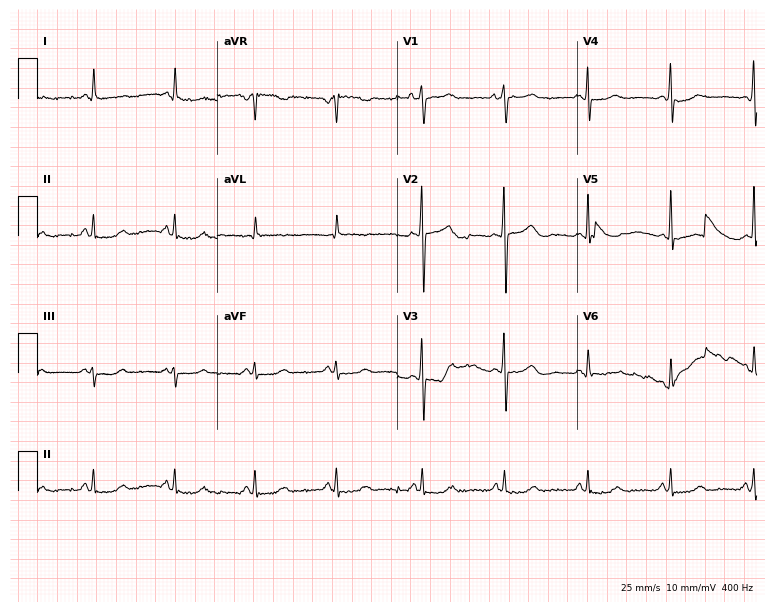
Standard 12-lead ECG recorded from a man, 67 years old (7.3-second recording at 400 Hz). None of these six findings is recorded: first-degree AV block, right bundle branch block (RBBB), left bundle branch block (LBBB), sinus bradycardia, atrial fibrillation (AF), sinus tachycardia. Findings outside these six are not listed.